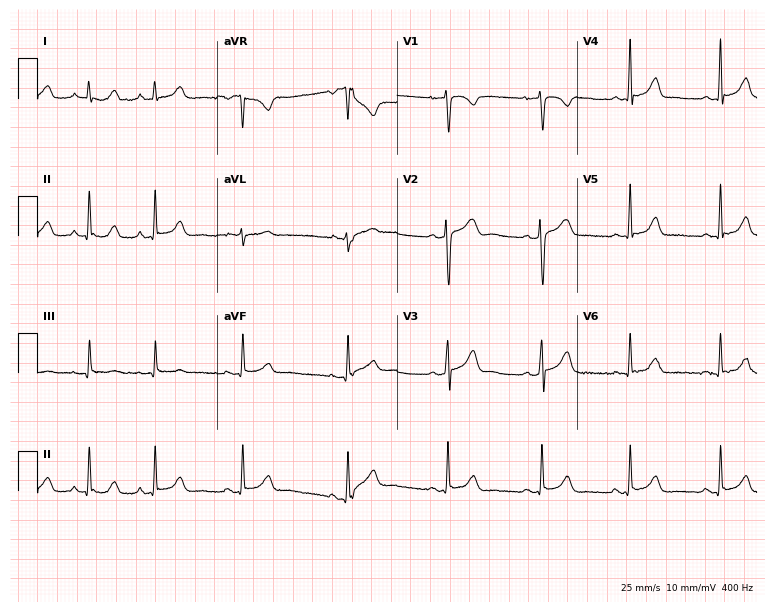
ECG (7.3-second recording at 400 Hz) — a 17-year-old woman. Screened for six findings — first-degree AV block, right bundle branch block, left bundle branch block, sinus bradycardia, atrial fibrillation, sinus tachycardia — none is recorded. Only these six findings were labelled.